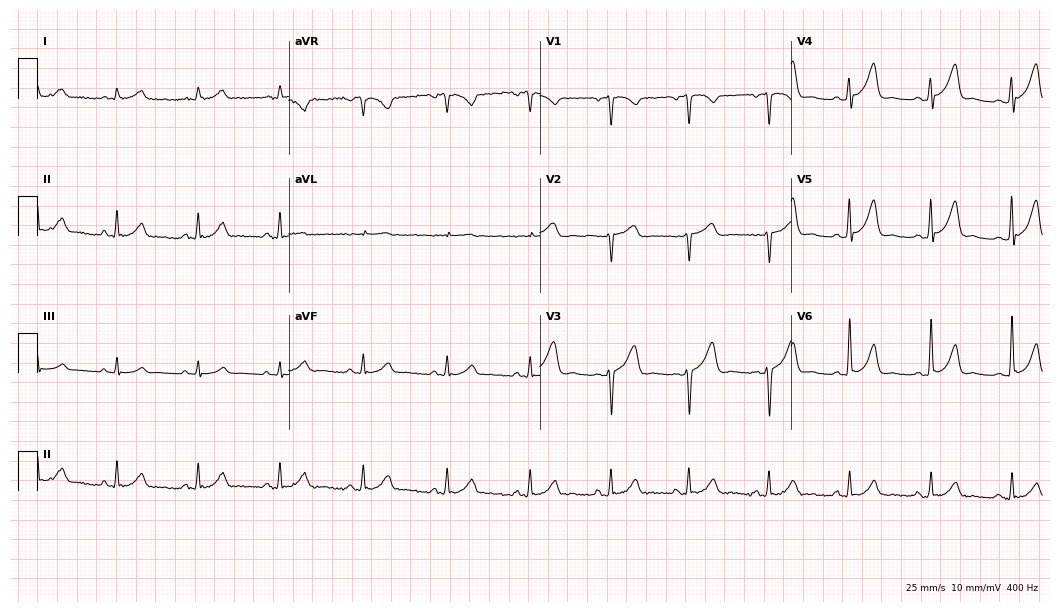
Resting 12-lead electrocardiogram (10.2-second recording at 400 Hz). Patient: a 60-year-old man. Read as a normal ECG.